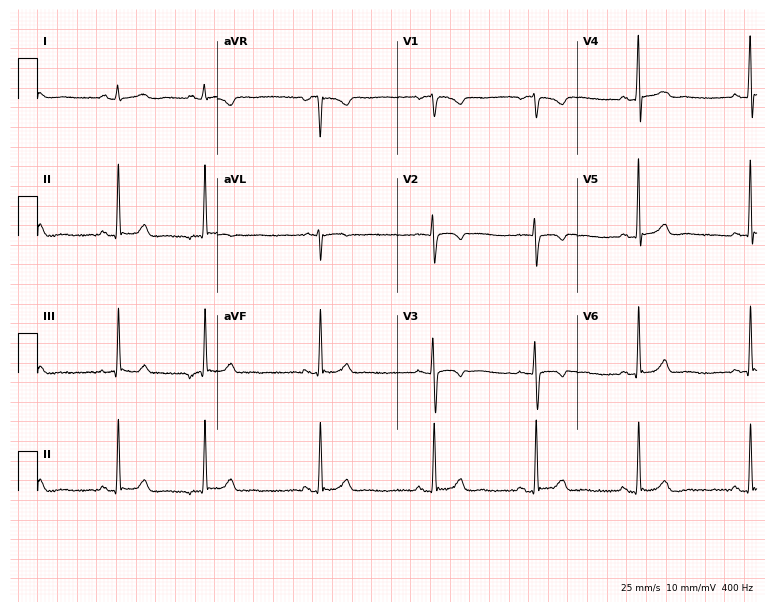
Electrocardiogram (7.3-second recording at 400 Hz), a 29-year-old female. Overall reading on record: normal ECG.